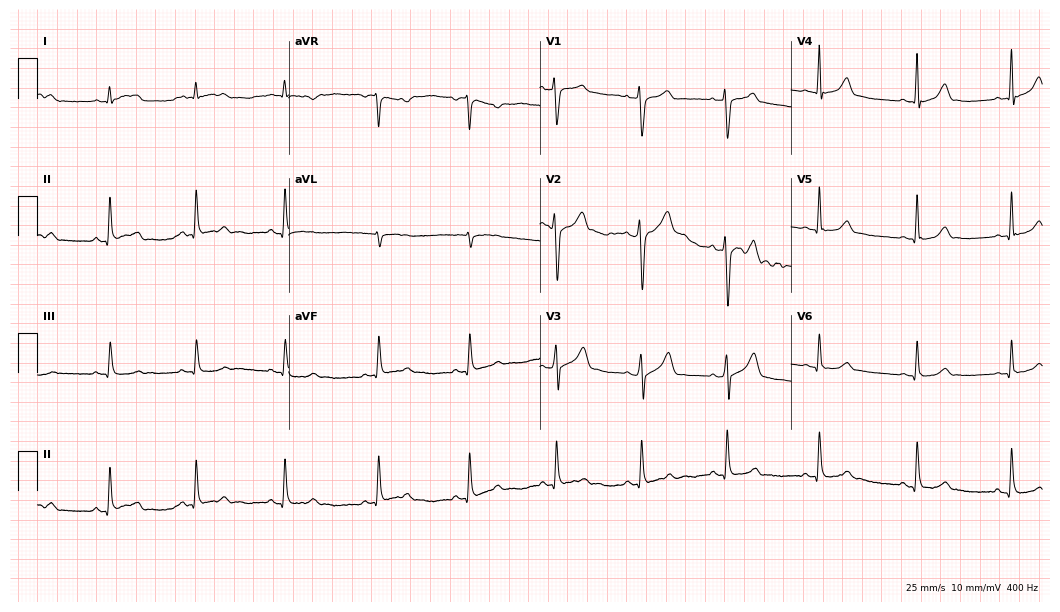
ECG (10.2-second recording at 400 Hz) — a 34-year-old male. Labelled as a normal ECG.